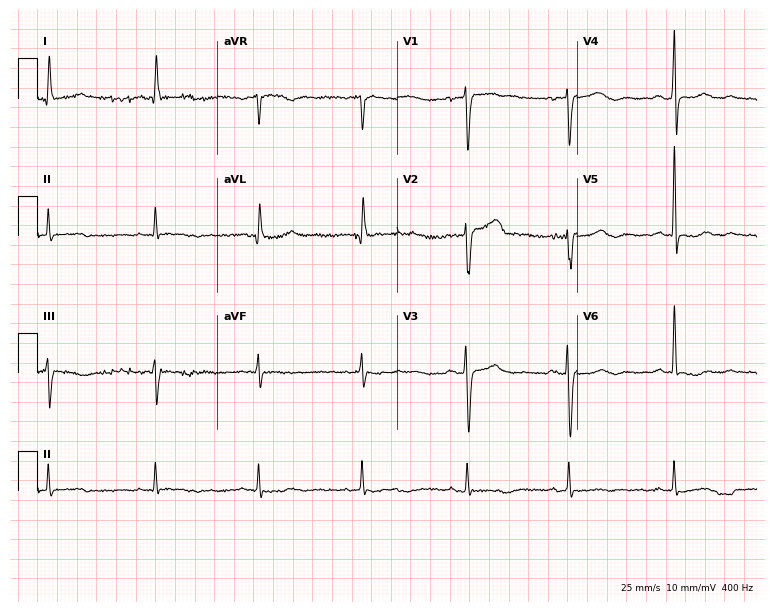
Electrocardiogram (7.3-second recording at 400 Hz), a woman, 40 years old. Overall reading on record: normal ECG.